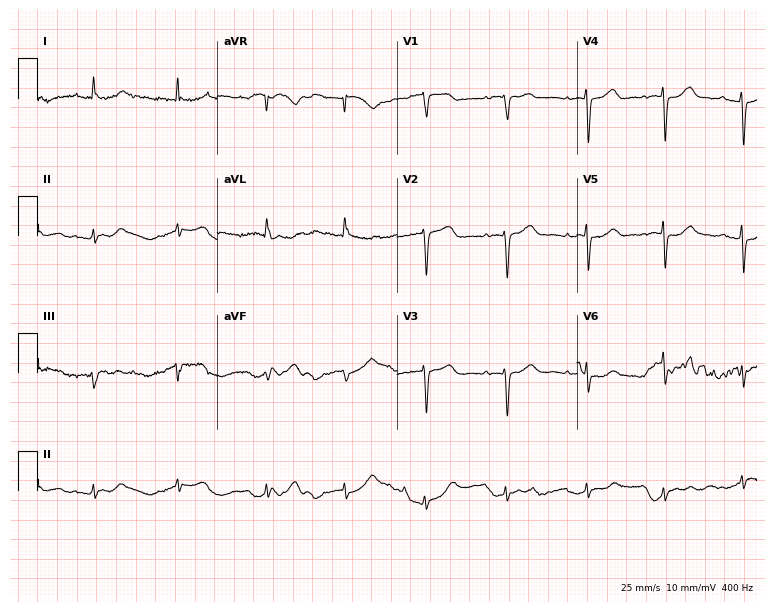
12-lead ECG from a female, 73 years old (7.3-second recording at 400 Hz). No first-degree AV block, right bundle branch block, left bundle branch block, sinus bradycardia, atrial fibrillation or sinus tachycardia recorded for this tracing. Findings outside these six are not listed.